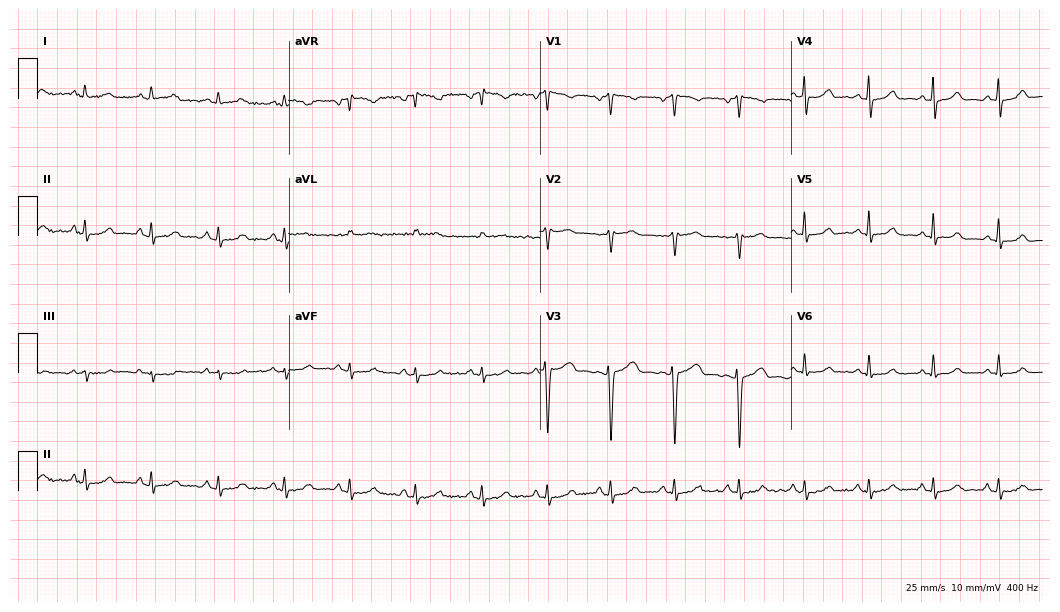
ECG (10.2-second recording at 400 Hz) — a female, 42 years old. Labelled as a normal ECG.